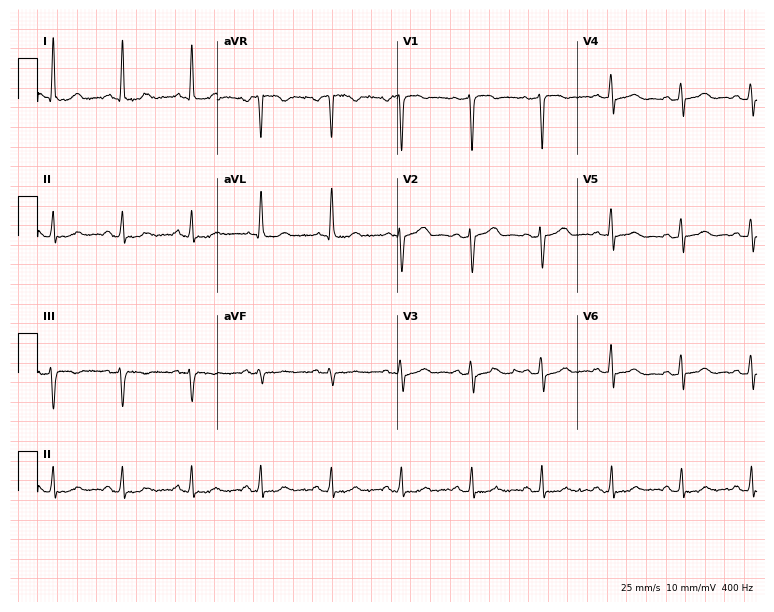
Electrocardiogram (7.3-second recording at 400 Hz), a woman, 48 years old. Overall reading on record: normal ECG.